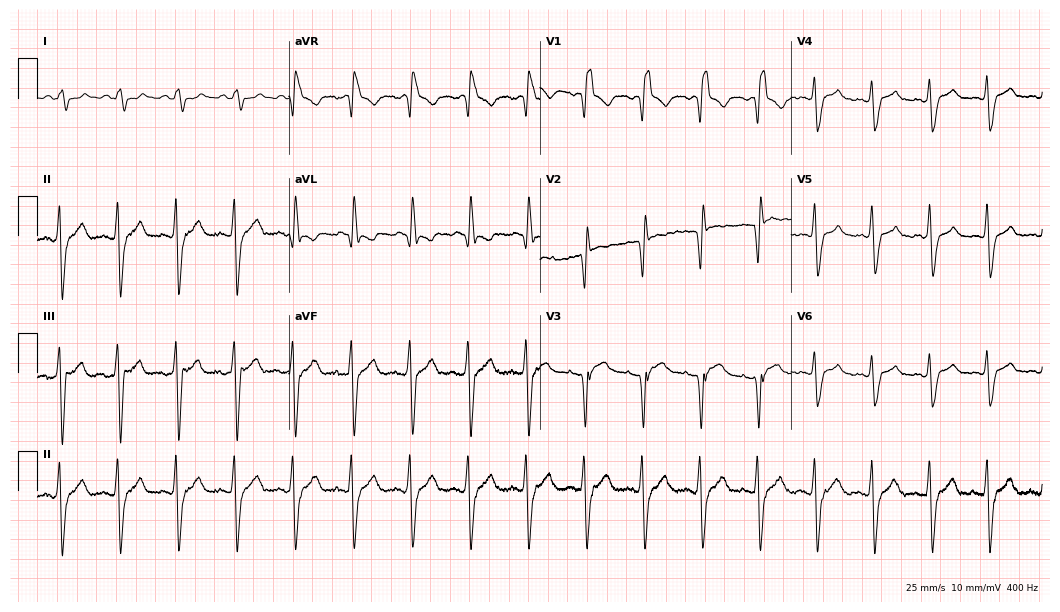
12-lead ECG from a 59-year-old male. Screened for six findings — first-degree AV block, right bundle branch block, left bundle branch block, sinus bradycardia, atrial fibrillation, sinus tachycardia — none is recorded. Only these six findings were labelled.